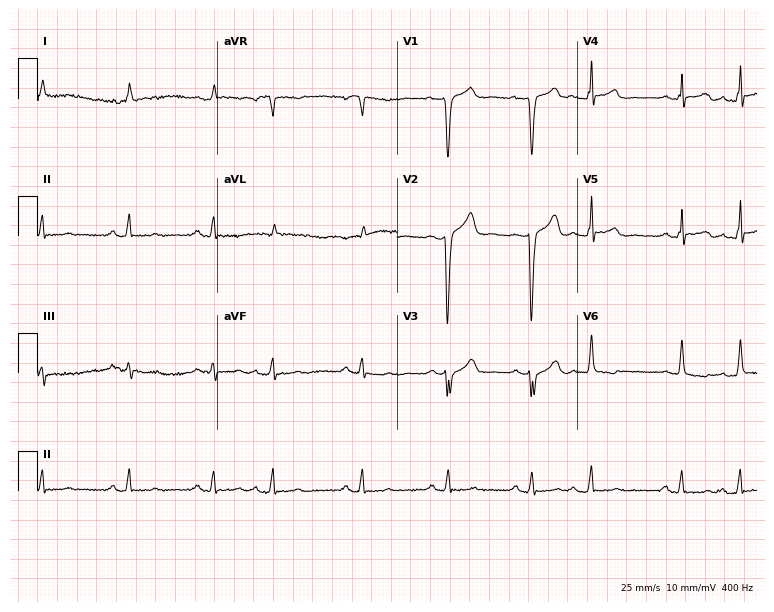
Resting 12-lead electrocardiogram (7.3-second recording at 400 Hz). Patient: a 66-year-old male. None of these six findings is recorded: first-degree AV block, right bundle branch block, left bundle branch block, sinus bradycardia, atrial fibrillation, sinus tachycardia. Only these six findings were labelled.